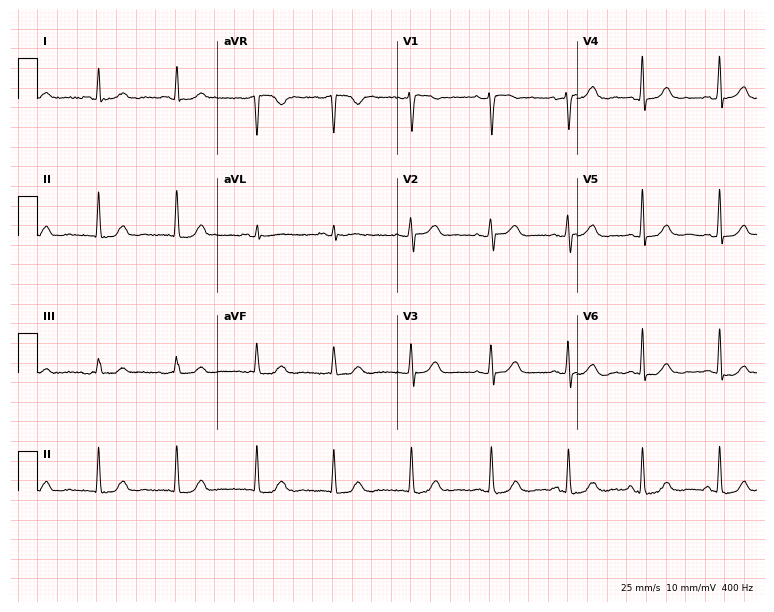
12-lead ECG (7.3-second recording at 400 Hz) from a woman, 64 years old. Labelled as a normal ECG.